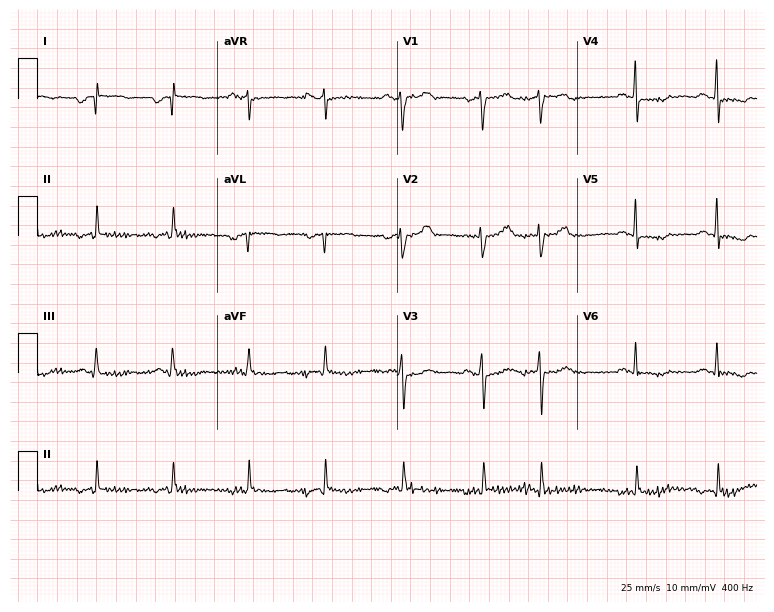
Electrocardiogram (7.3-second recording at 400 Hz), a woman, 72 years old. Of the six screened findings (first-degree AV block, right bundle branch block, left bundle branch block, sinus bradycardia, atrial fibrillation, sinus tachycardia), none is recorded. Findings outside these six are not listed.